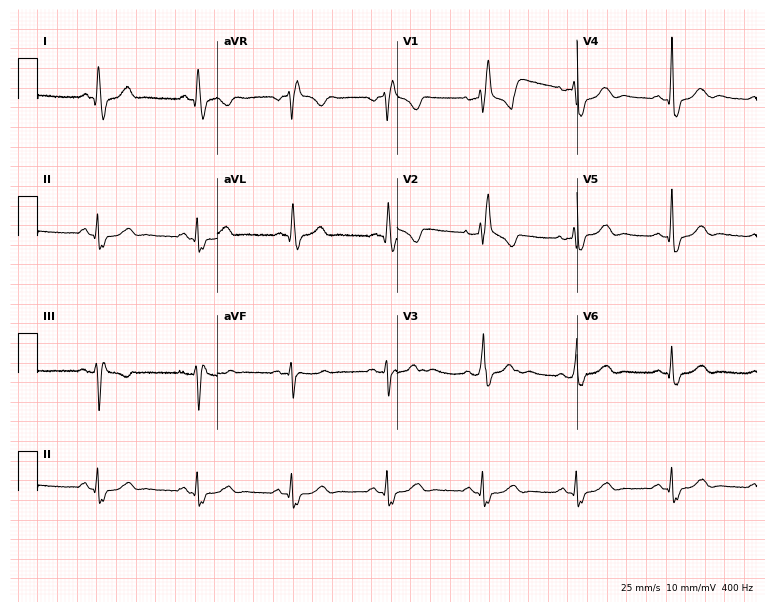
Electrocardiogram (7.3-second recording at 400 Hz), a 70-year-old female. Interpretation includes right bundle branch block (RBBB).